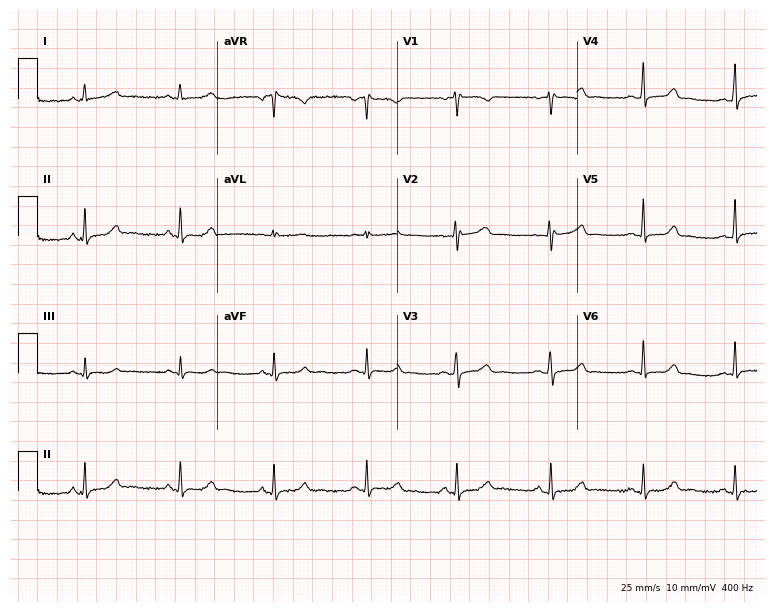
12-lead ECG from a female, 35 years old. Recorded interpretation: within normal limits.